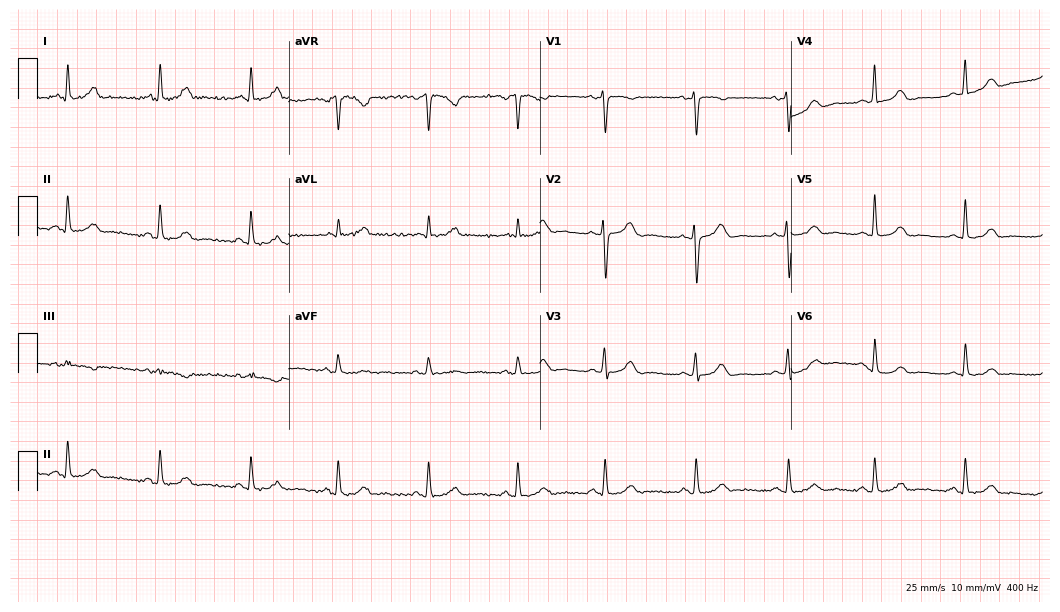
12-lead ECG from a 35-year-old female patient (10.2-second recording at 400 Hz). No first-degree AV block, right bundle branch block, left bundle branch block, sinus bradycardia, atrial fibrillation or sinus tachycardia recorded for this tracing. Only these six findings were labelled.